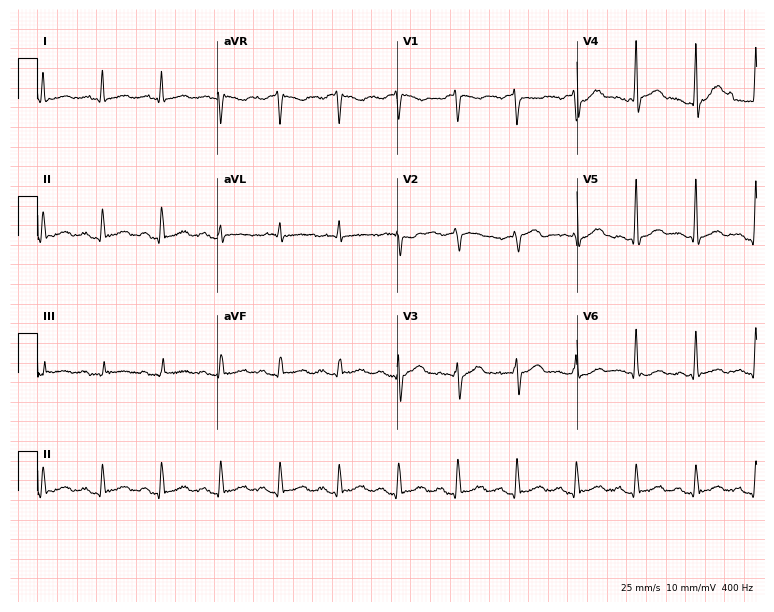
Standard 12-lead ECG recorded from a 63-year-old male patient. Read as a normal ECG.